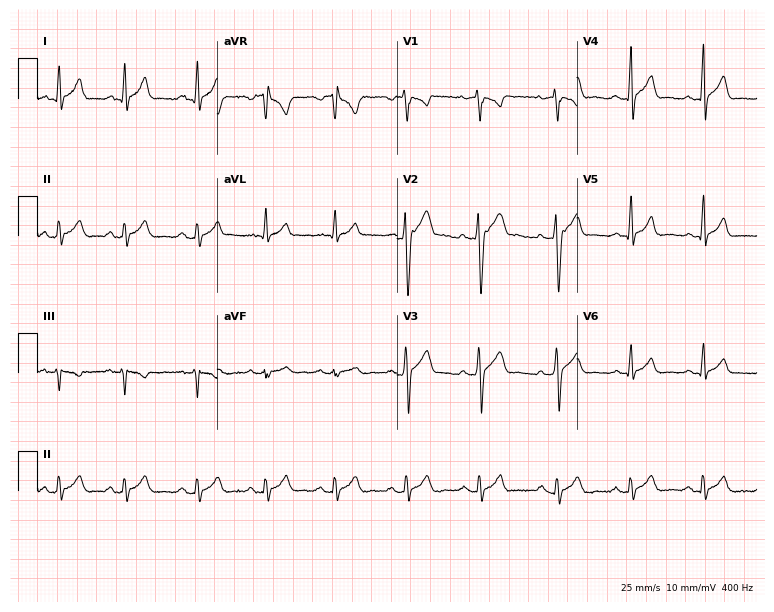
ECG (7.3-second recording at 400 Hz) — a male patient, 43 years old. Screened for six findings — first-degree AV block, right bundle branch block (RBBB), left bundle branch block (LBBB), sinus bradycardia, atrial fibrillation (AF), sinus tachycardia — none is recorded. Findings outside these six are not listed.